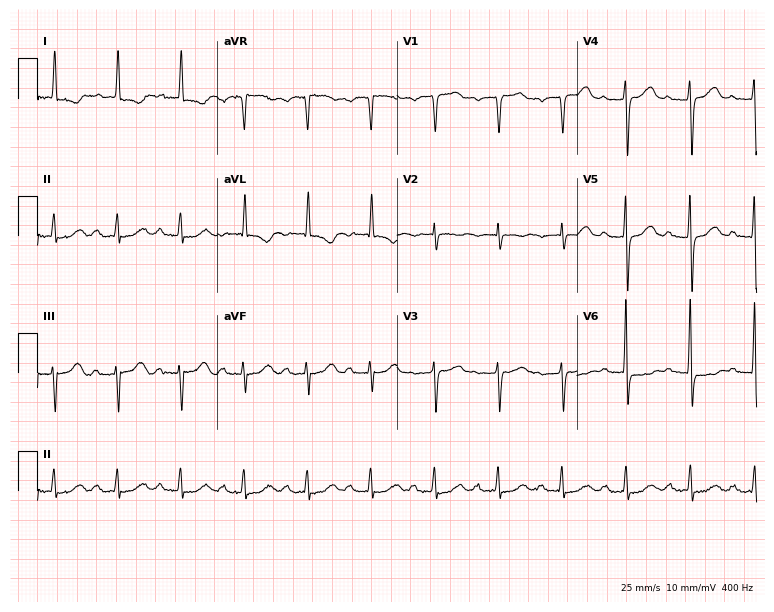
Resting 12-lead electrocardiogram (7.3-second recording at 400 Hz). Patient: an 81-year-old woman. The tracing shows first-degree AV block.